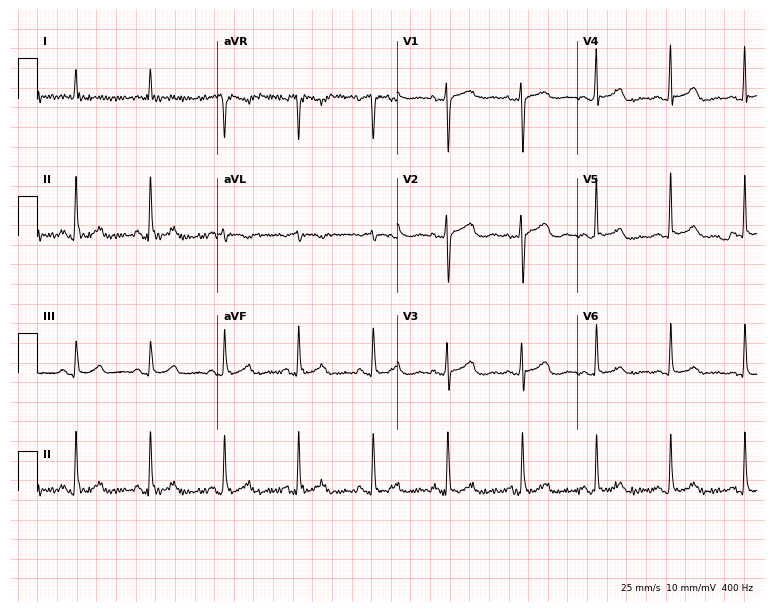
12-lead ECG from a 60-year-old woman (7.3-second recording at 400 Hz). No first-degree AV block, right bundle branch block (RBBB), left bundle branch block (LBBB), sinus bradycardia, atrial fibrillation (AF) or sinus tachycardia recorded for this tracing.